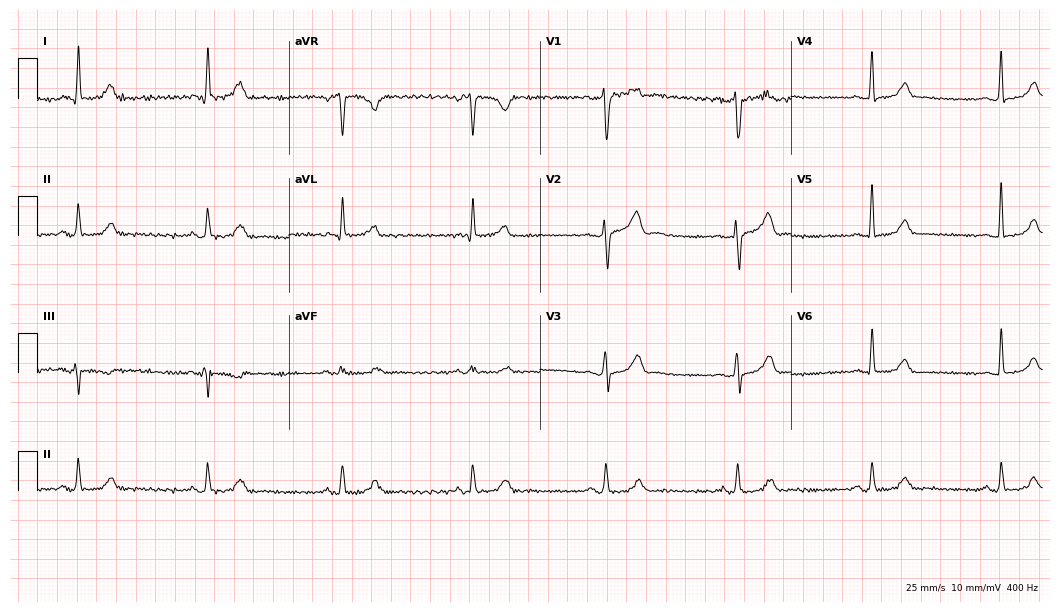
Standard 12-lead ECG recorded from a female patient, 41 years old. None of these six findings is recorded: first-degree AV block, right bundle branch block (RBBB), left bundle branch block (LBBB), sinus bradycardia, atrial fibrillation (AF), sinus tachycardia. Findings outside these six are not listed.